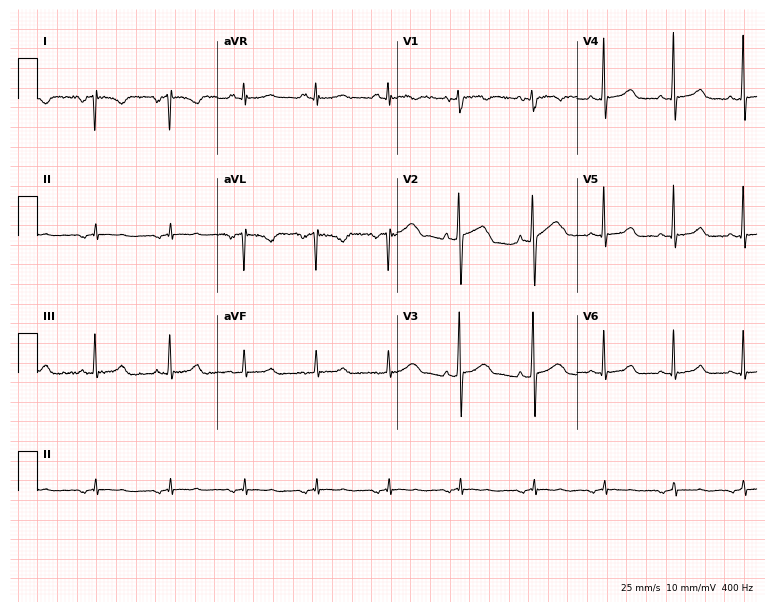
12-lead ECG (7.3-second recording at 400 Hz) from a woman, 23 years old. Screened for six findings — first-degree AV block, right bundle branch block, left bundle branch block, sinus bradycardia, atrial fibrillation, sinus tachycardia — none is recorded.